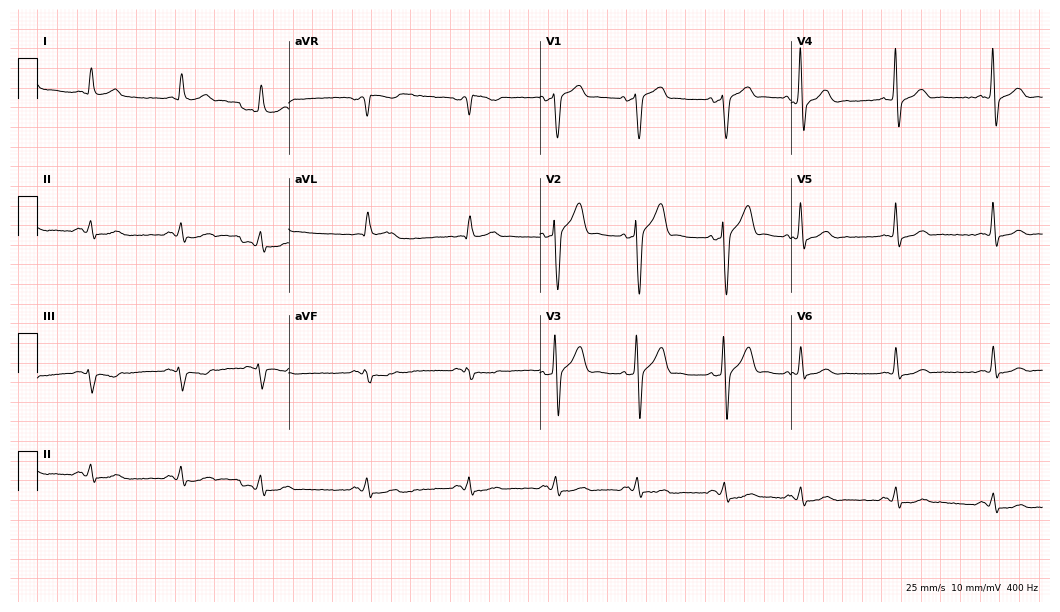
Electrocardiogram (10.2-second recording at 400 Hz), a 60-year-old male patient. Of the six screened findings (first-degree AV block, right bundle branch block, left bundle branch block, sinus bradycardia, atrial fibrillation, sinus tachycardia), none is recorded.